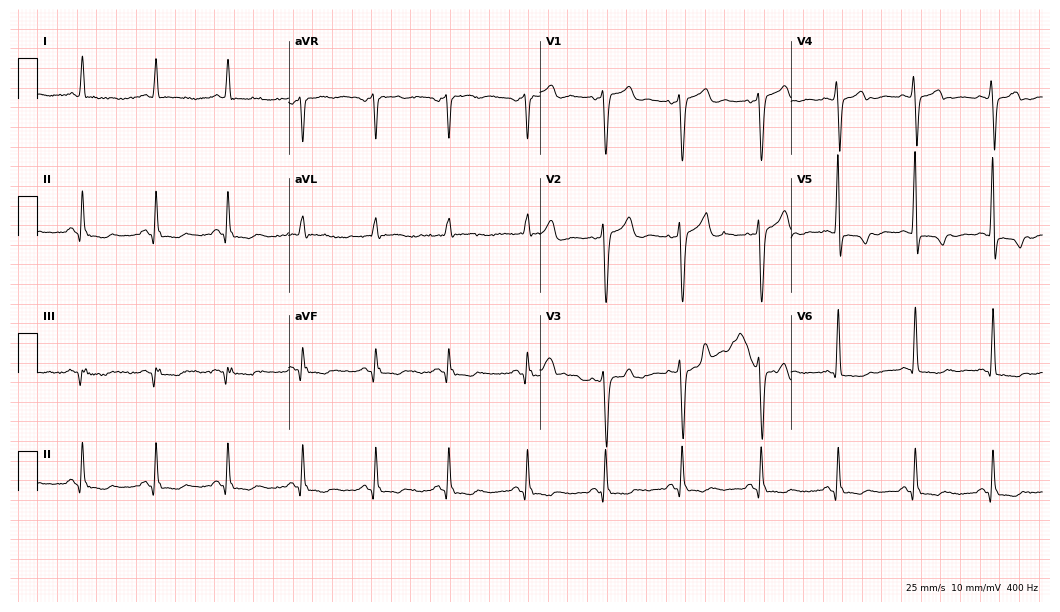
12-lead ECG from a male patient, 59 years old. No first-degree AV block, right bundle branch block, left bundle branch block, sinus bradycardia, atrial fibrillation or sinus tachycardia recorded for this tracing.